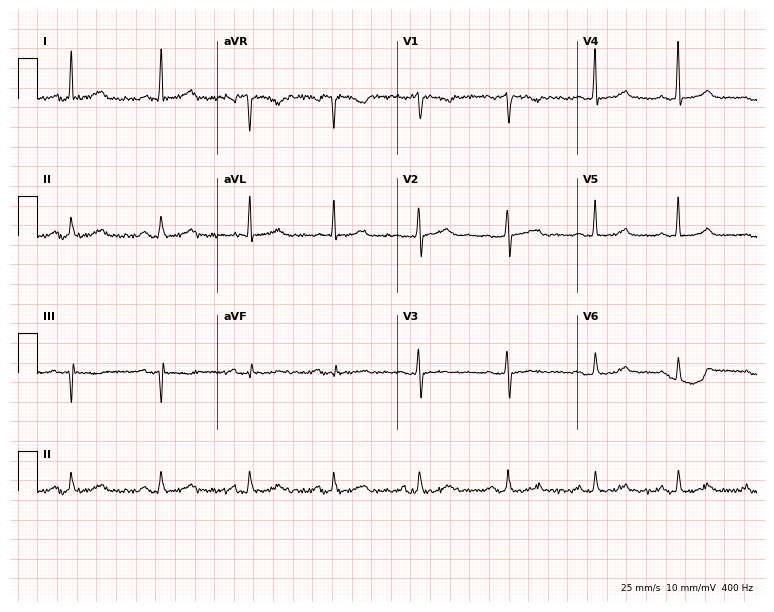
12-lead ECG from a female, 53 years old. Recorded interpretation: within normal limits.